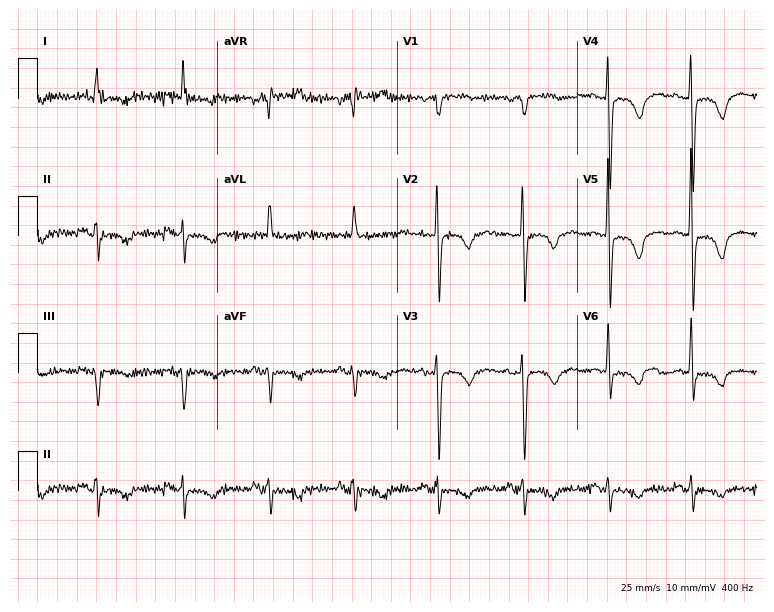
12-lead ECG from a female, 62 years old. No first-degree AV block, right bundle branch block (RBBB), left bundle branch block (LBBB), sinus bradycardia, atrial fibrillation (AF) or sinus tachycardia recorded for this tracing.